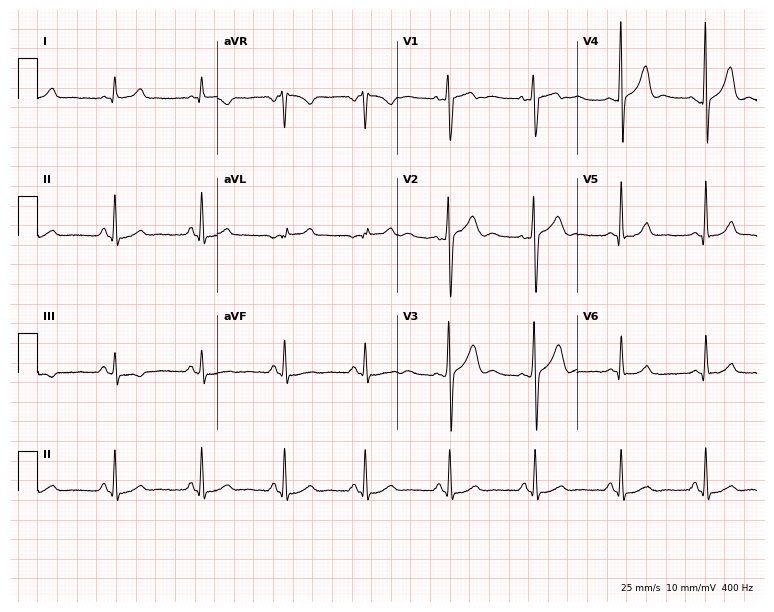
Standard 12-lead ECG recorded from a male patient, 35 years old (7.3-second recording at 400 Hz). Read as a normal ECG.